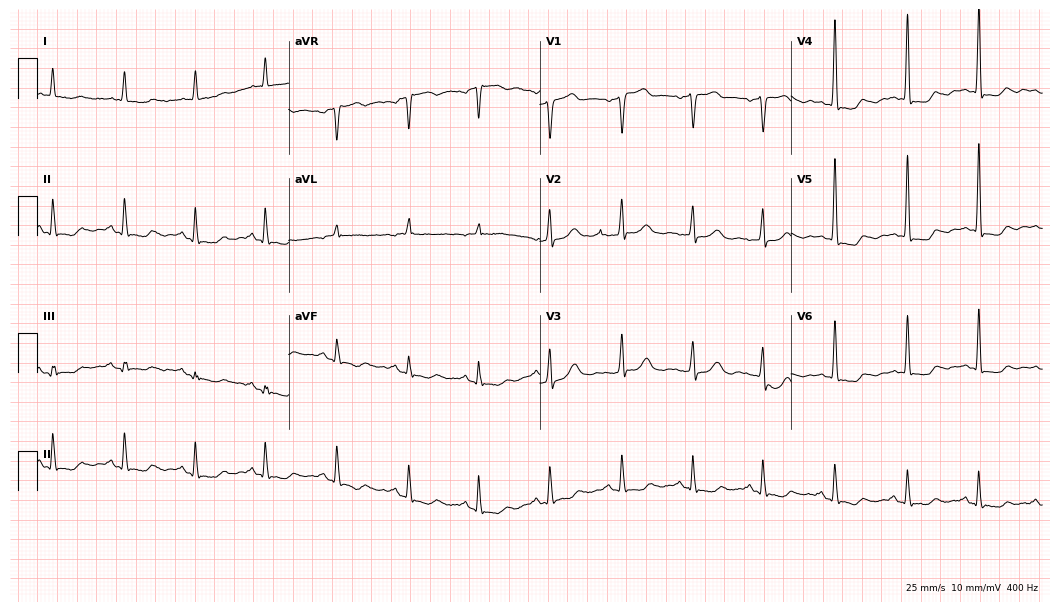
Standard 12-lead ECG recorded from an 84-year-old woman (10.2-second recording at 400 Hz). None of these six findings is recorded: first-degree AV block, right bundle branch block, left bundle branch block, sinus bradycardia, atrial fibrillation, sinus tachycardia. Other findings, if any, are not listed.